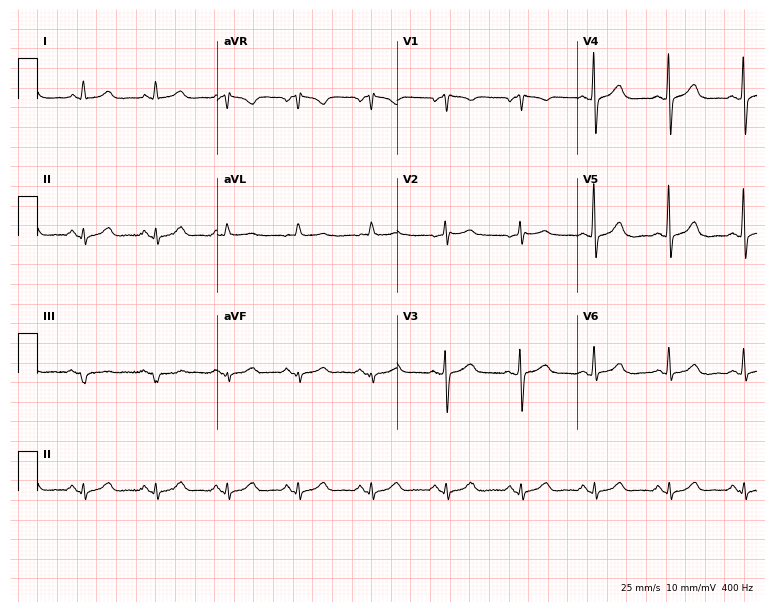
Resting 12-lead electrocardiogram (7.3-second recording at 400 Hz). Patient: a woman, 60 years old. None of these six findings is recorded: first-degree AV block, right bundle branch block, left bundle branch block, sinus bradycardia, atrial fibrillation, sinus tachycardia.